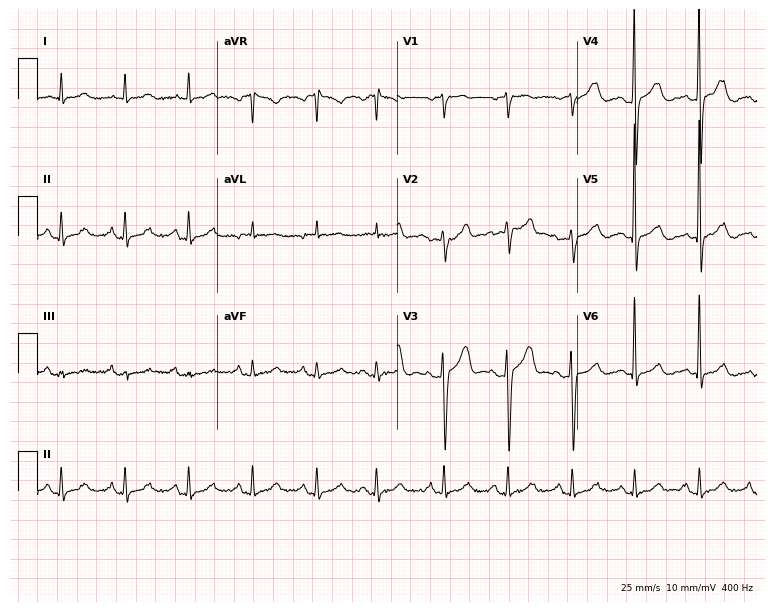
12-lead ECG from a female patient, 77 years old (7.3-second recording at 400 Hz). Recorded interpretation: within normal limits.